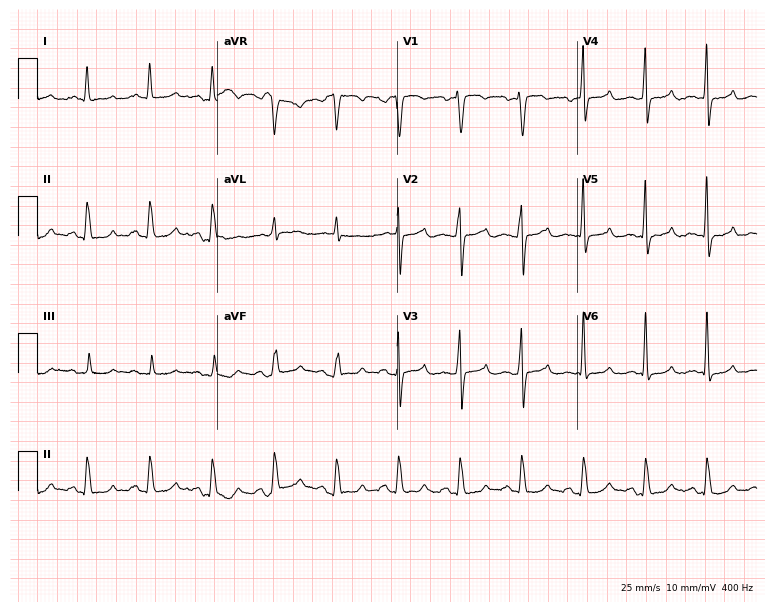
Standard 12-lead ECG recorded from a 34-year-old male (7.3-second recording at 400 Hz). None of these six findings is recorded: first-degree AV block, right bundle branch block, left bundle branch block, sinus bradycardia, atrial fibrillation, sinus tachycardia.